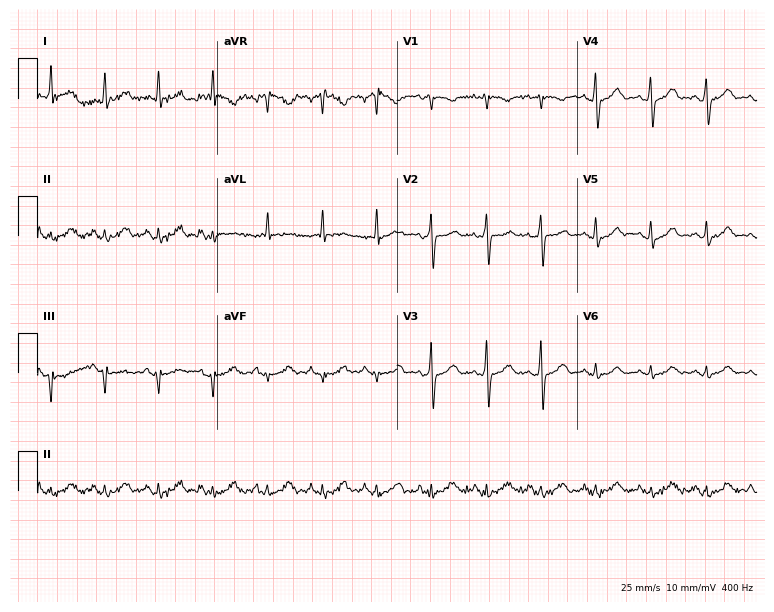
Standard 12-lead ECG recorded from a 52-year-old female. None of these six findings is recorded: first-degree AV block, right bundle branch block, left bundle branch block, sinus bradycardia, atrial fibrillation, sinus tachycardia. Findings outside these six are not listed.